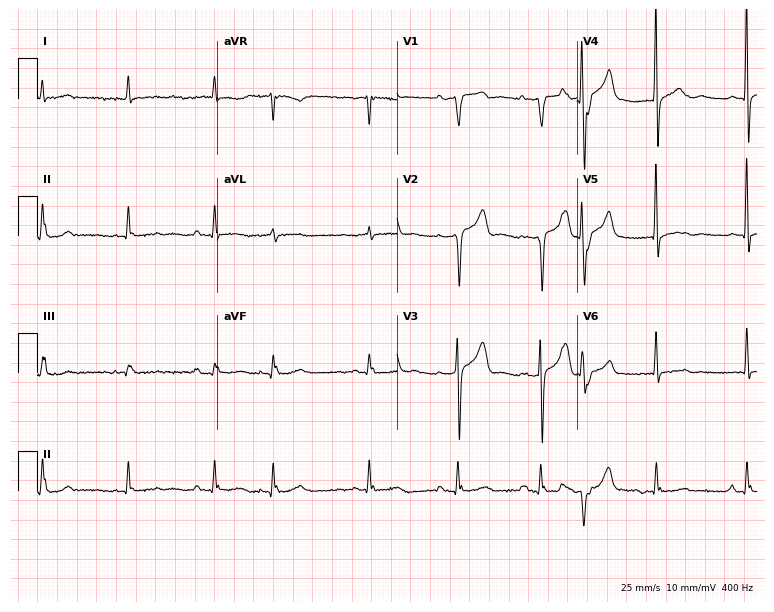
ECG — a 76-year-old male. Screened for six findings — first-degree AV block, right bundle branch block (RBBB), left bundle branch block (LBBB), sinus bradycardia, atrial fibrillation (AF), sinus tachycardia — none is recorded. Other findings, if any, are not listed.